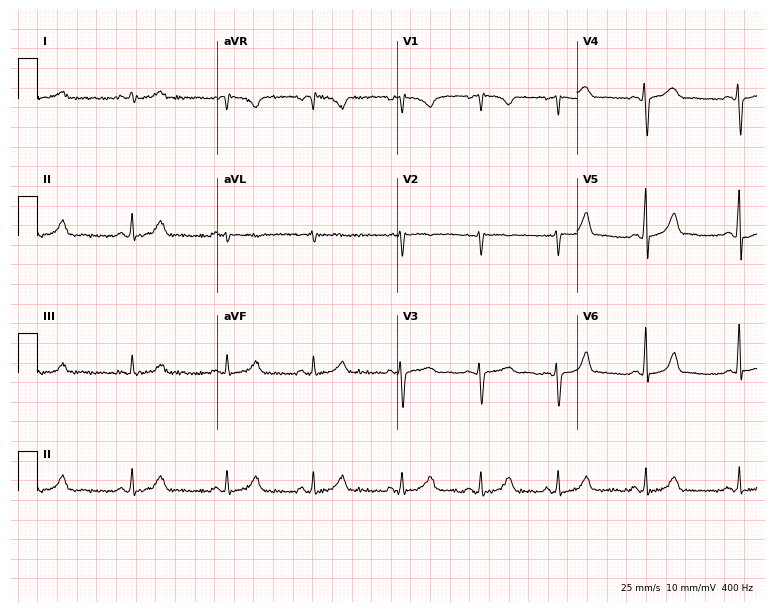
12-lead ECG from a 41-year-old woman (7.3-second recording at 400 Hz). No first-degree AV block, right bundle branch block, left bundle branch block, sinus bradycardia, atrial fibrillation or sinus tachycardia recorded for this tracing. Other findings, if any, are not listed.